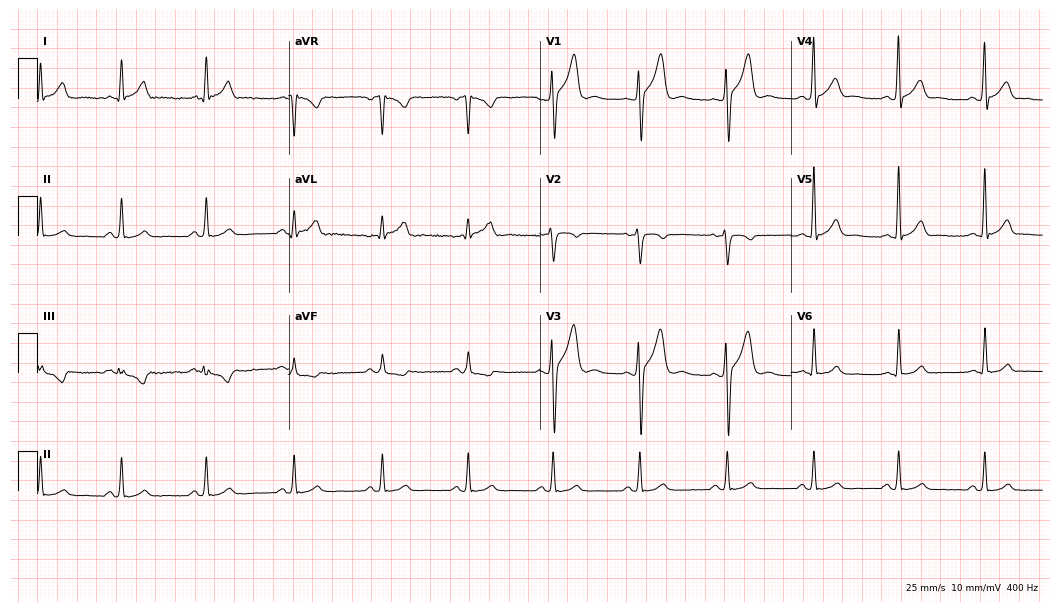
Electrocardiogram (10.2-second recording at 400 Hz), a 28-year-old male patient. Overall reading on record: normal ECG.